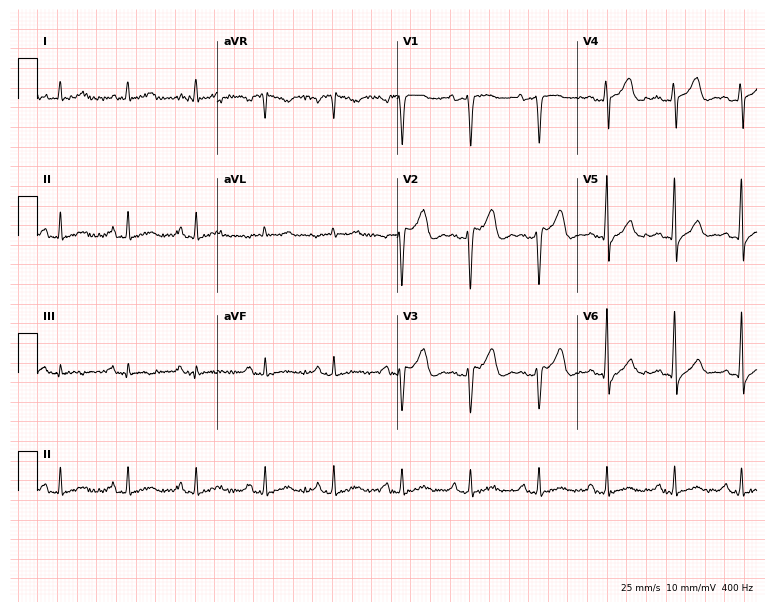
Electrocardiogram, a male patient, 40 years old. Of the six screened findings (first-degree AV block, right bundle branch block (RBBB), left bundle branch block (LBBB), sinus bradycardia, atrial fibrillation (AF), sinus tachycardia), none is recorded. Only these six findings were labelled.